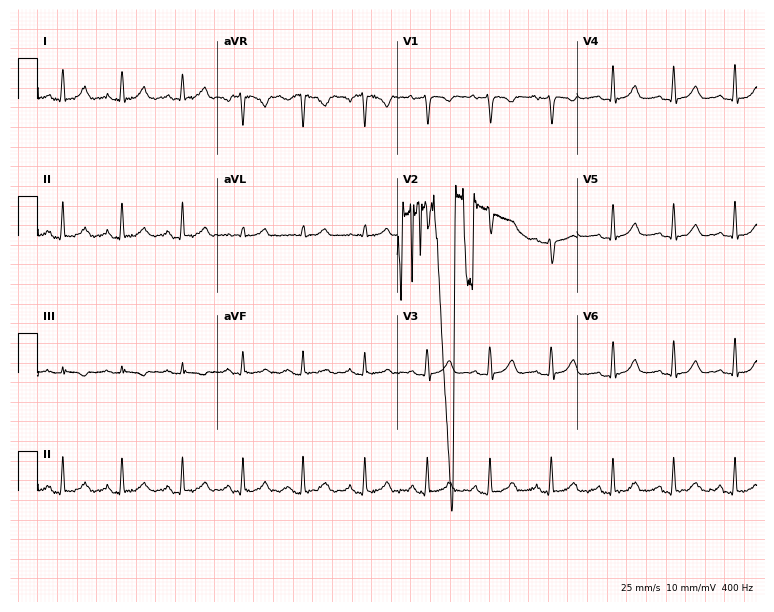
ECG (7.3-second recording at 400 Hz) — a 38-year-old female. Screened for six findings — first-degree AV block, right bundle branch block, left bundle branch block, sinus bradycardia, atrial fibrillation, sinus tachycardia — none is recorded. Other findings, if any, are not listed.